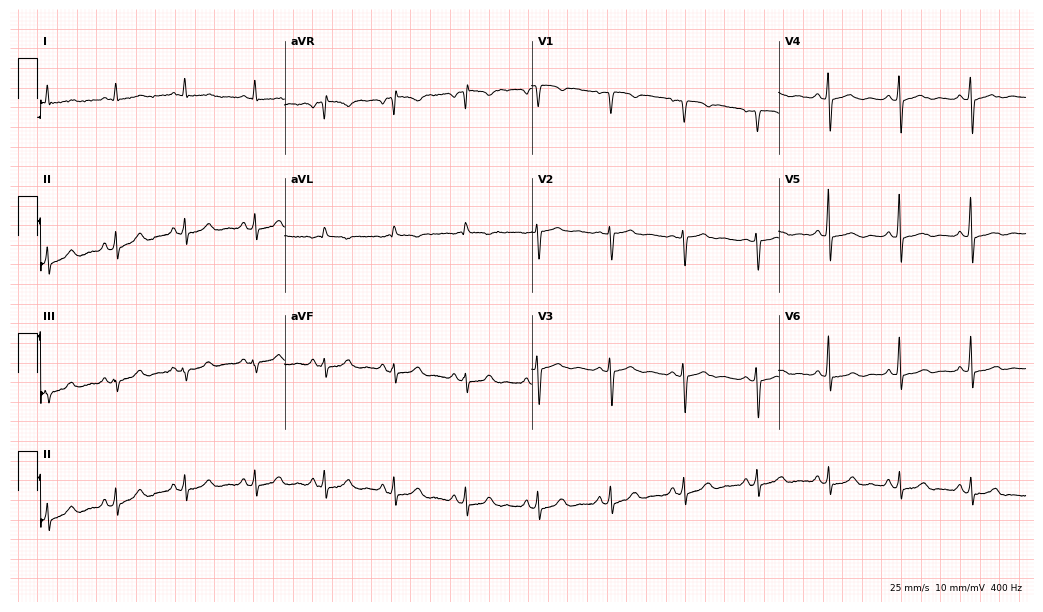
Electrocardiogram, a 69-year-old woman. Overall reading on record: normal ECG.